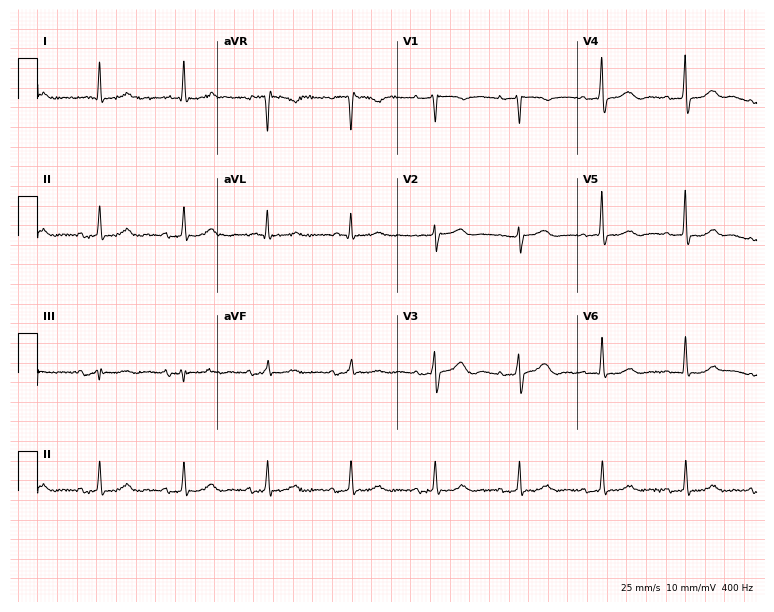
Resting 12-lead electrocardiogram. Patient: a 71-year-old woman. None of these six findings is recorded: first-degree AV block, right bundle branch block, left bundle branch block, sinus bradycardia, atrial fibrillation, sinus tachycardia. Only these six findings were labelled.